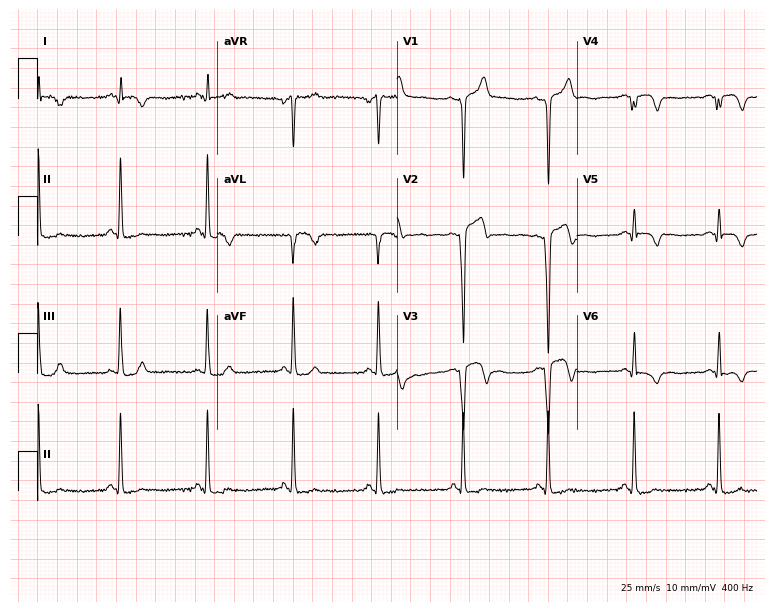
Electrocardiogram (7.3-second recording at 400 Hz), a man, 38 years old. Of the six screened findings (first-degree AV block, right bundle branch block (RBBB), left bundle branch block (LBBB), sinus bradycardia, atrial fibrillation (AF), sinus tachycardia), none is recorded. Findings outside these six are not listed.